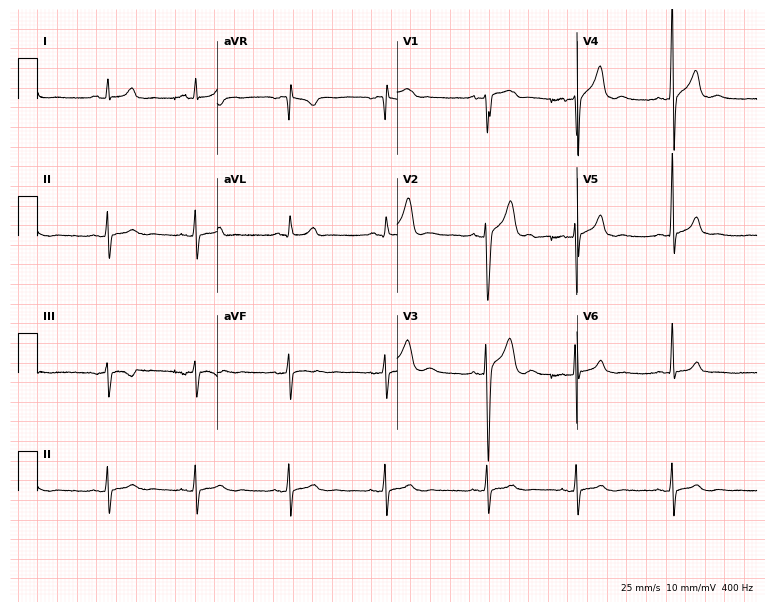
ECG — a man, 21 years old. Labelled as a normal ECG.